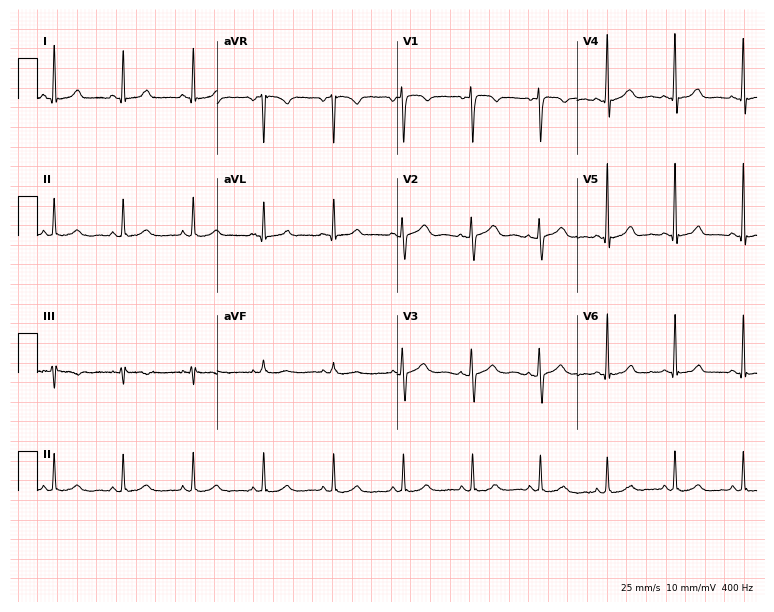
12-lead ECG (7.3-second recording at 400 Hz) from a 31-year-old female patient. Screened for six findings — first-degree AV block, right bundle branch block, left bundle branch block, sinus bradycardia, atrial fibrillation, sinus tachycardia — none is recorded. Only these six findings were labelled.